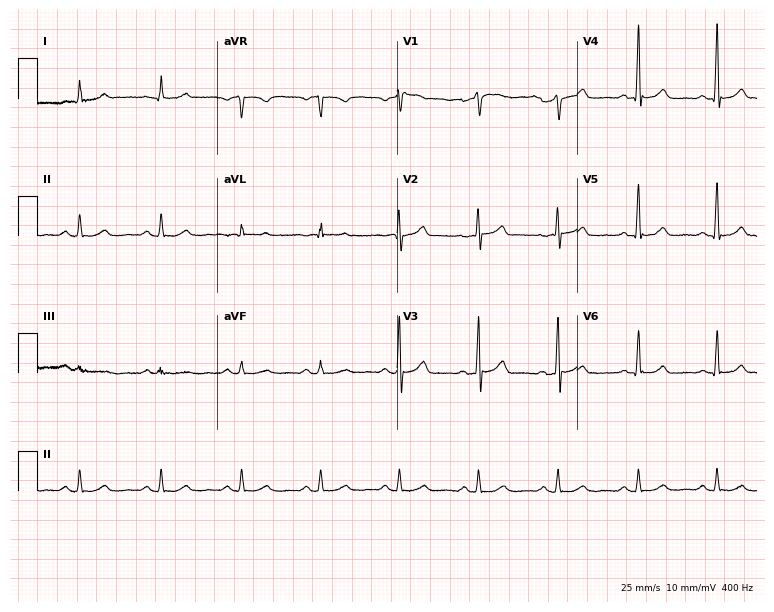
12-lead ECG (7.3-second recording at 400 Hz) from a 68-year-old female. Labelled as a normal ECG.